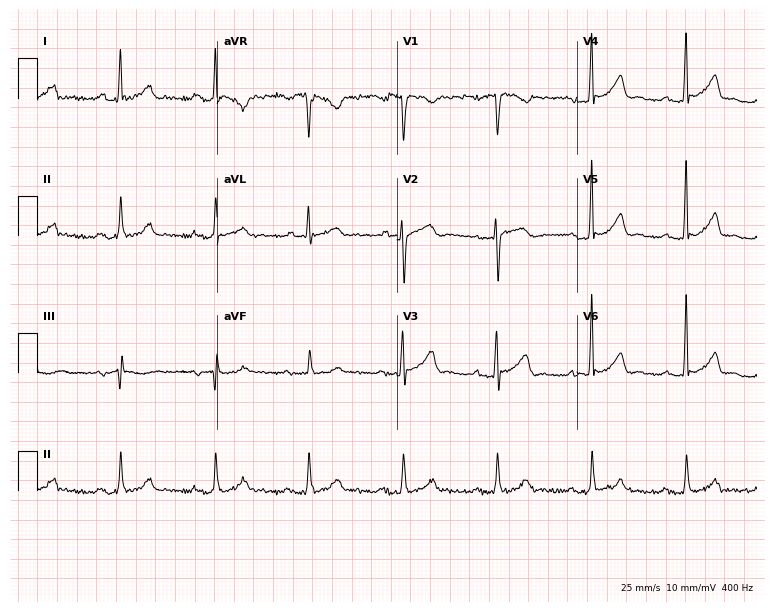
Resting 12-lead electrocardiogram. Patient: a man, 74 years old. None of these six findings is recorded: first-degree AV block, right bundle branch block, left bundle branch block, sinus bradycardia, atrial fibrillation, sinus tachycardia. Other findings, if any, are not listed.